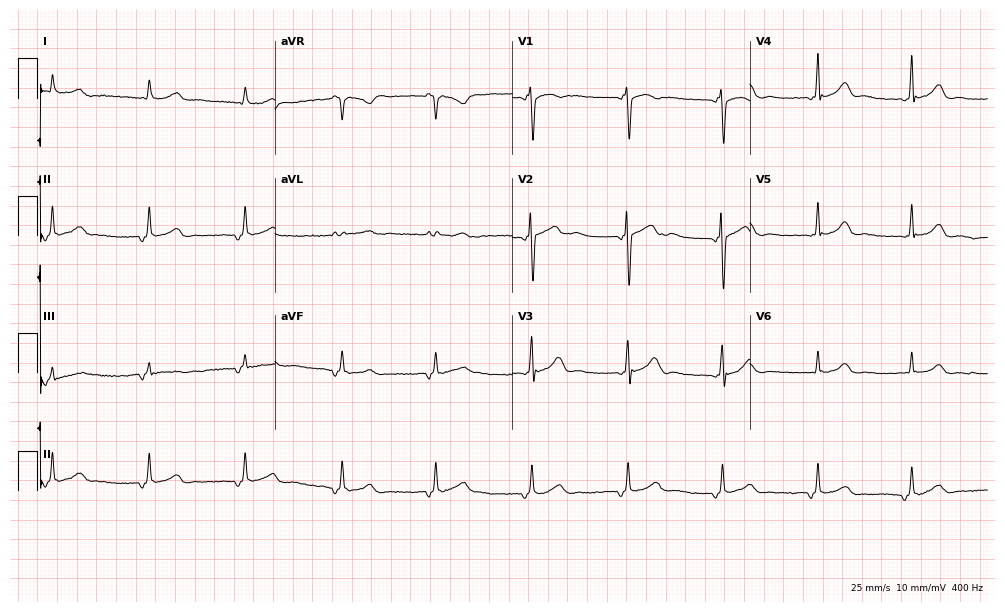
Standard 12-lead ECG recorded from a 20-year-old female. None of these six findings is recorded: first-degree AV block, right bundle branch block, left bundle branch block, sinus bradycardia, atrial fibrillation, sinus tachycardia.